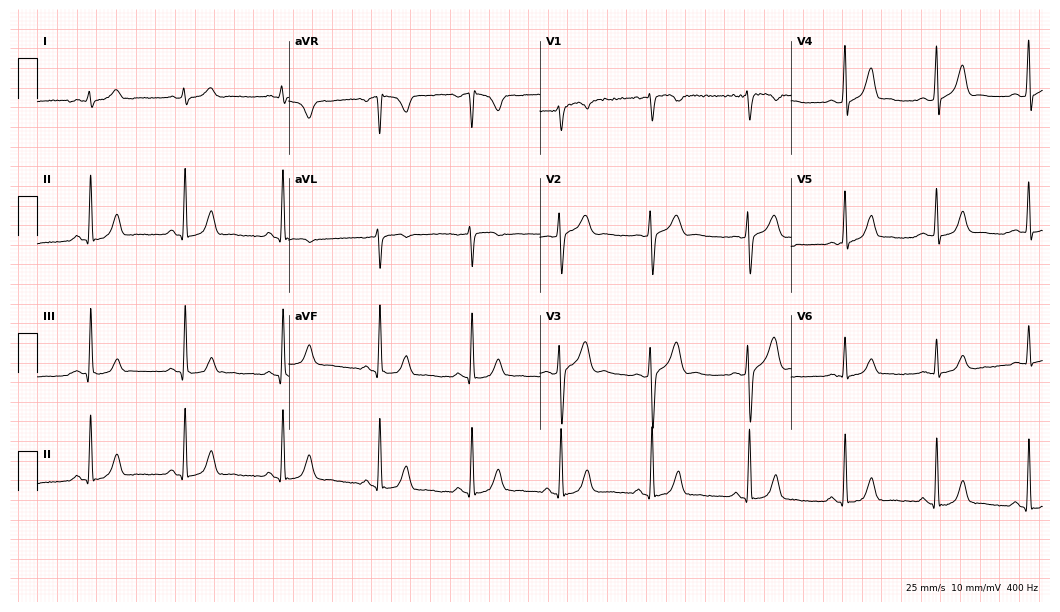
12-lead ECG from a male patient, 49 years old. No first-degree AV block, right bundle branch block, left bundle branch block, sinus bradycardia, atrial fibrillation or sinus tachycardia recorded for this tracing.